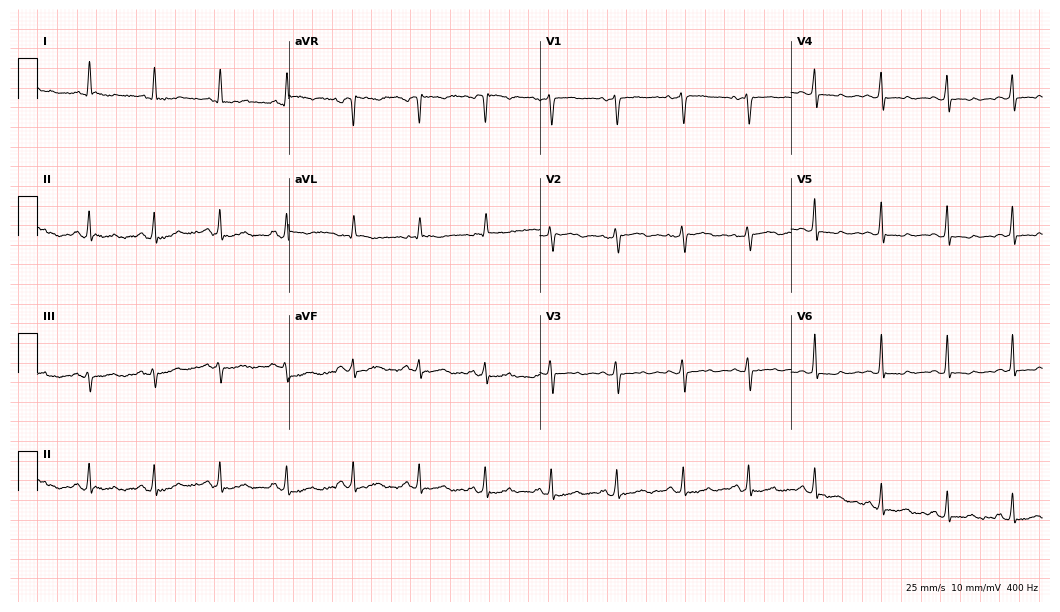
Resting 12-lead electrocardiogram. Patient: a woman, 49 years old. None of these six findings is recorded: first-degree AV block, right bundle branch block (RBBB), left bundle branch block (LBBB), sinus bradycardia, atrial fibrillation (AF), sinus tachycardia. Only these six findings were labelled.